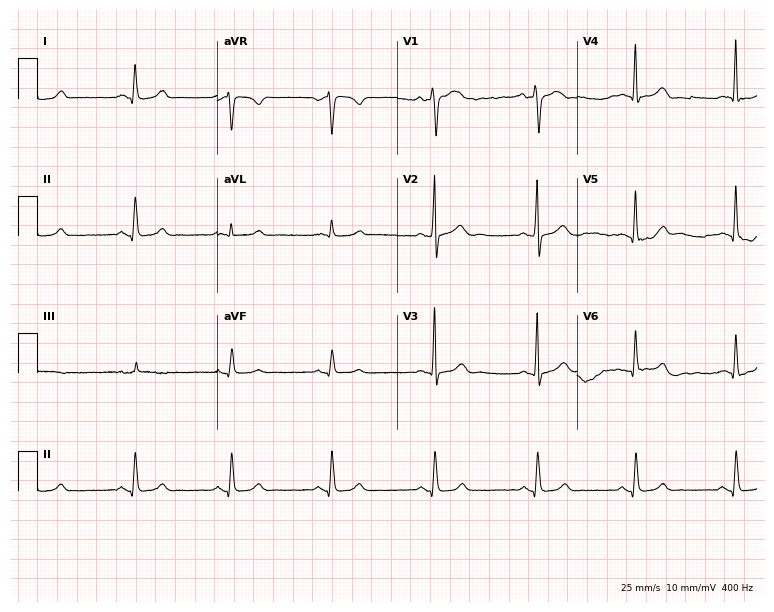
12-lead ECG (7.3-second recording at 400 Hz) from a man, 37 years old. Labelled as a normal ECG.